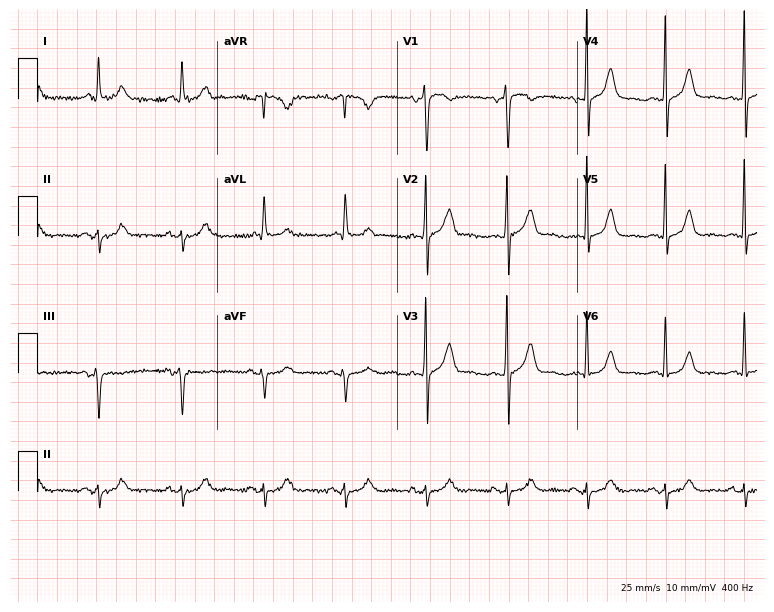
Electrocardiogram (7.3-second recording at 400 Hz), a male, 63 years old. Of the six screened findings (first-degree AV block, right bundle branch block (RBBB), left bundle branch block (LBBB), sinus bradycardia, atrial fibrillation (AF), sinus tachycardia), none is recorded. Only these six findings were labelled.